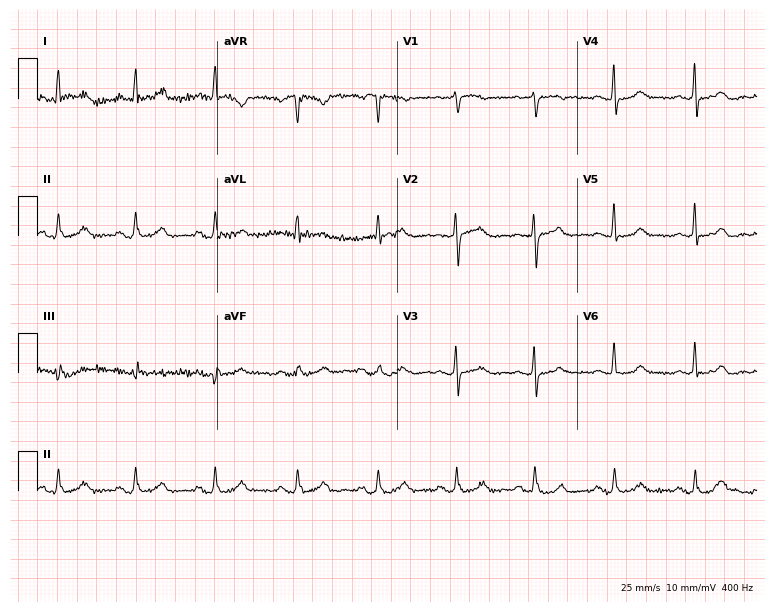
12-lead ECG from a woman, 62 years old. Labelled as a normal ECG.